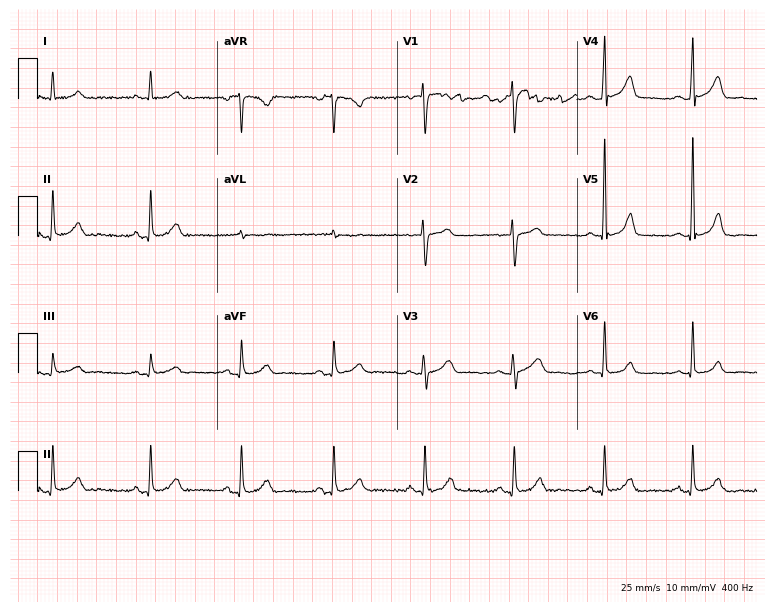
ECG (7.3-second recording at 400 Hz) — a 62-year-old woman. Labelled as a normal ECG.